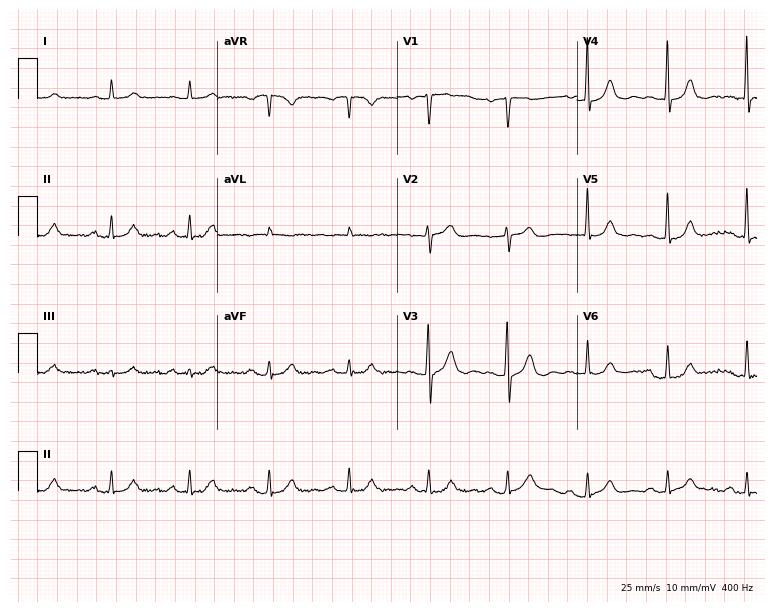
ECG (7.3-second recording at 400 Hz) — a male, 82 years old. Screened for six findings — first-degree AV block, right bundle branch block (RBBB), left bundle branch block (LBBB), sinus bradycardia, atrial fibrillation (AF), sinus tachycardia — none is recorded.